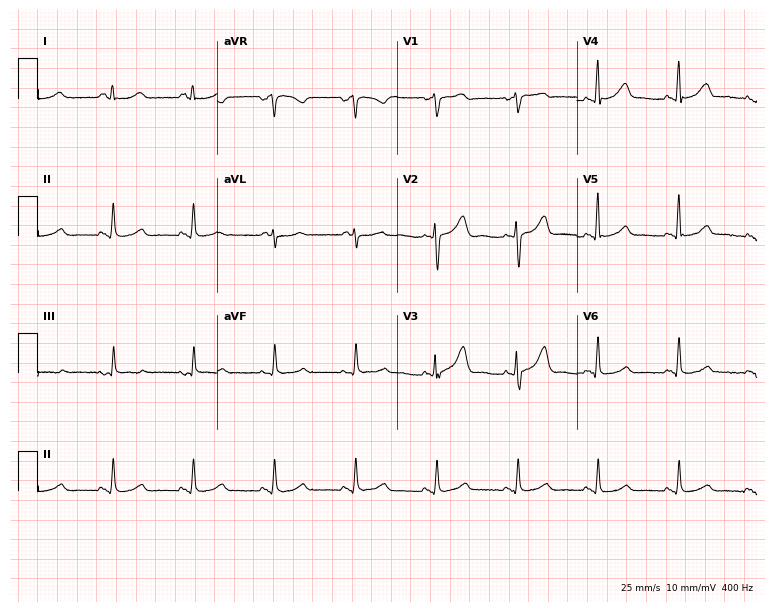
ECG — a female patient, 51 years old. Screened for six findings — first-degree AV block, right bundle branch block (RBBB), left bundle branch block (LBBB), sinus bradycardia, atrial fibrillation (AF), sinus tachycardia — none is recorded. Only these six findings were labelled.